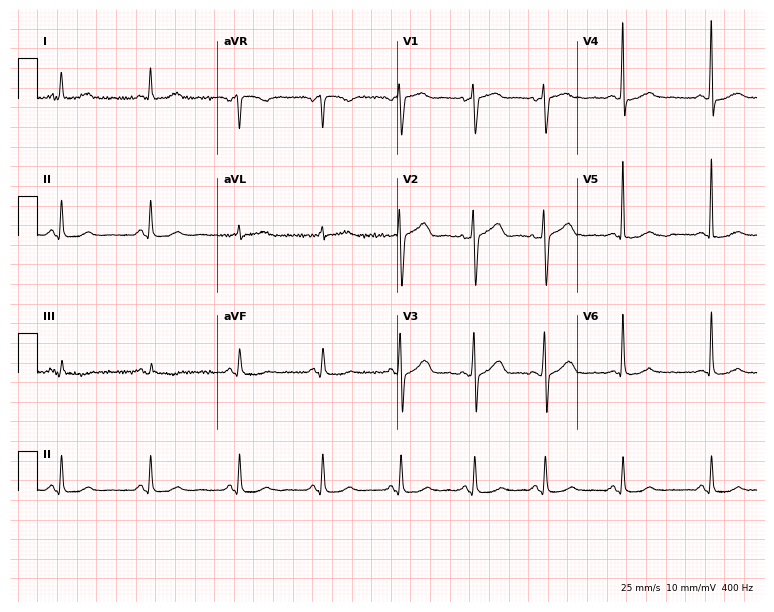
Standard 12-lead ECG recorded from a 63-year-old male. Read as a normal ECG.